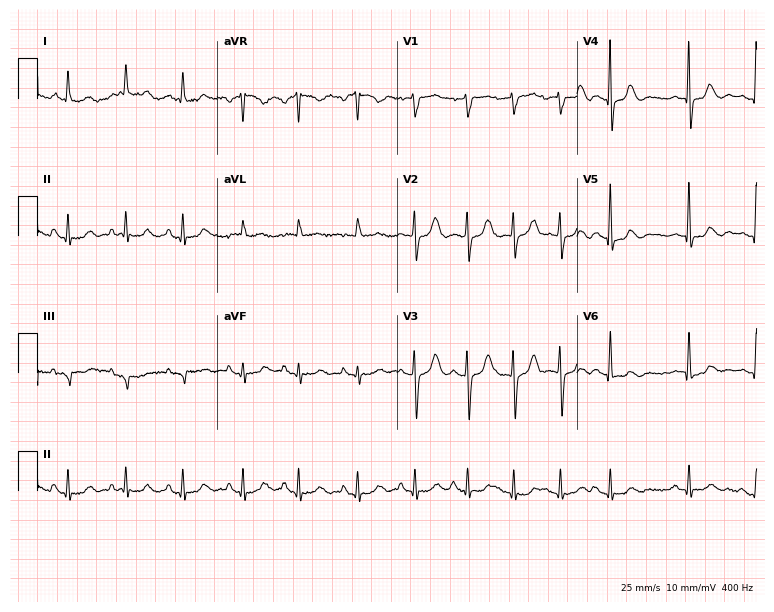
Electrocardiogram (7.3-second recording at 400 Hz), a 75-year-old woman. Interpretation includes sinus tachycardia (a sinus rate of 100 beats per minute or more).